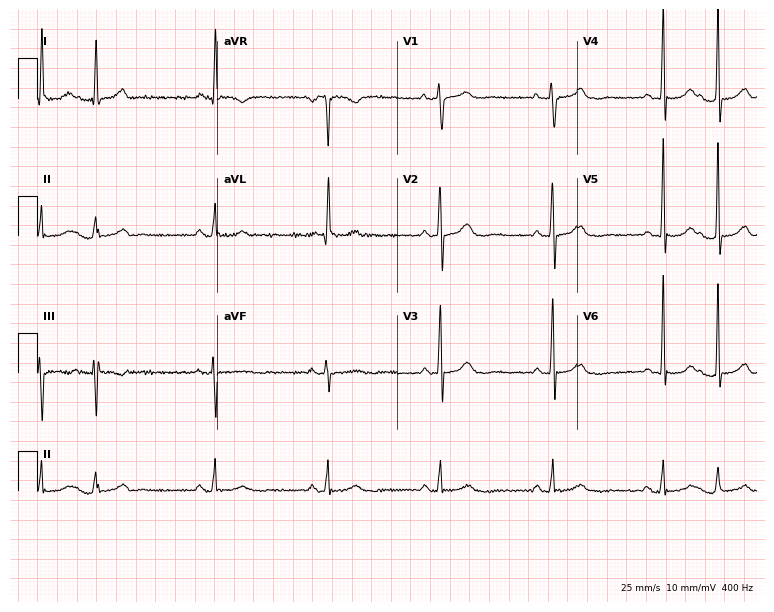
12-lead ECG (7.3-second recording at 400 Hz) from a 68-year-old woman. Labelled as a normal ECG.